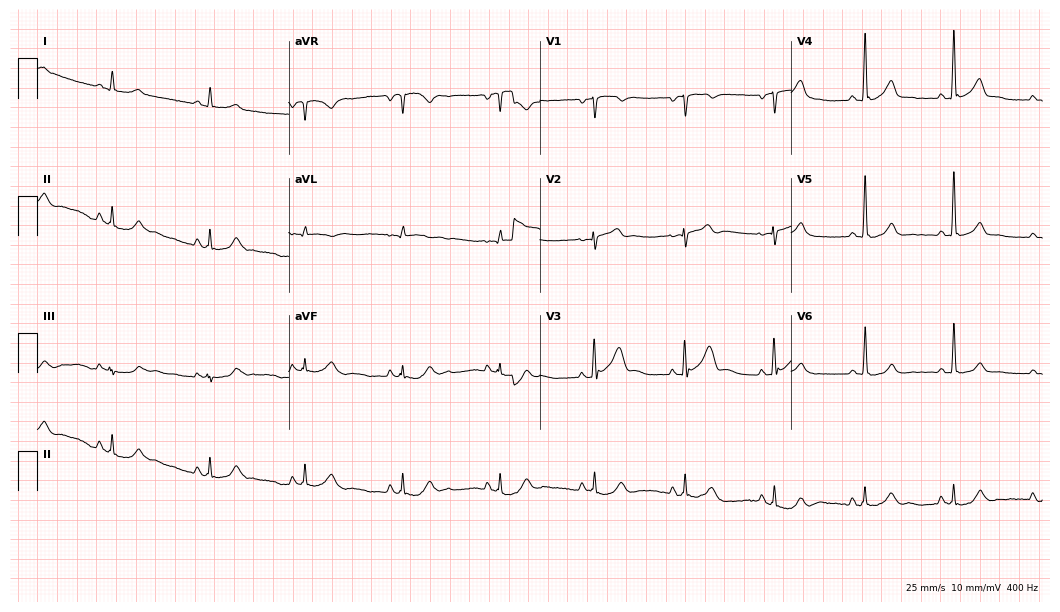
Standard 12-lead ECG recorded from a male patient, 49 years old. Read as a normal ECG.